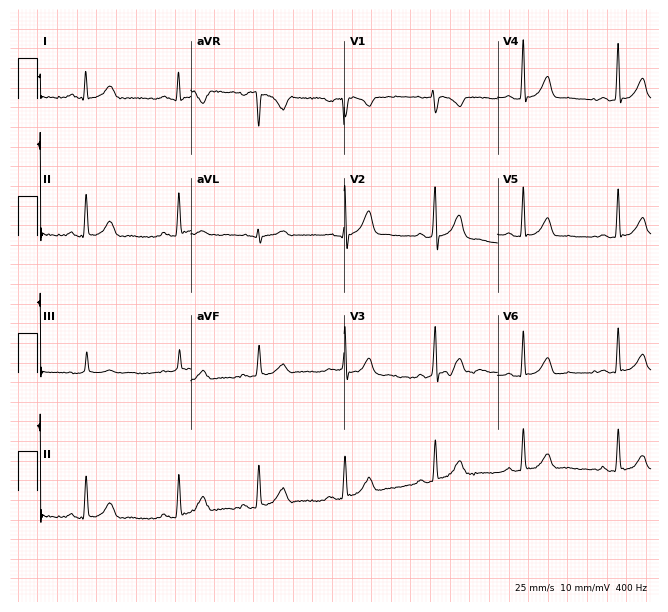
ECG (6.3-second recording at 400 Hz) — a female patient, 23 years old. Labelled as a normal ECG.